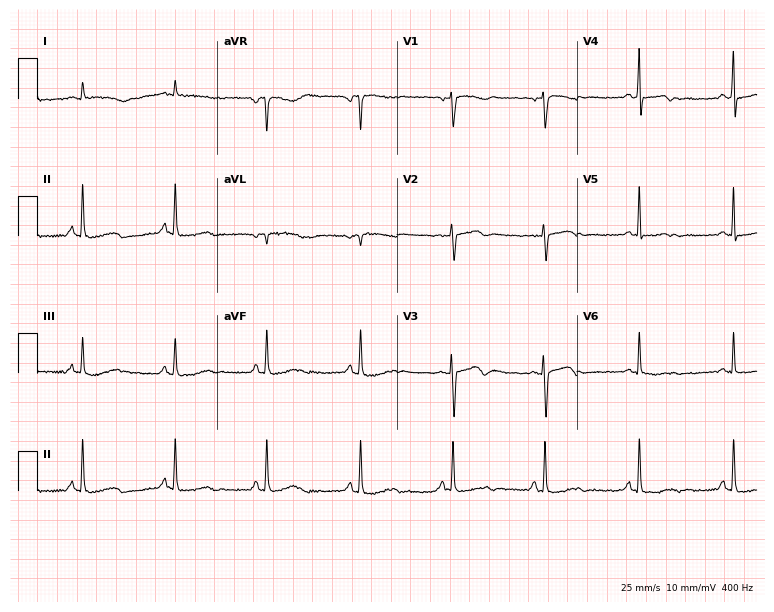
ECG — a female patient, 55 years old. Screened for six findings — first-degree AV block, right bundle branch block (RBBB), left bundle branch block (LBBB), sinus bradycardia, atrial fibrillation (AF), sinus tachycardia — none is recorded. Only these six findings were labelled.